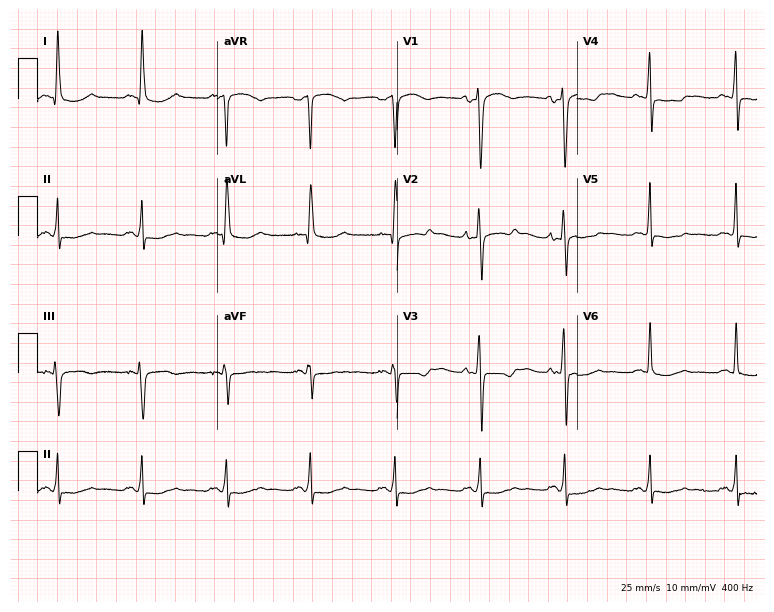
Electrocardiogram (7.3-second recording at 400 Hz), a 62-year-old female. Of the six screened findings (first-degree AV block, right bundle branch block, left bundle branch block, sinus bradycardia, atrial fibrillation, sinus tachycardia), none is recorded. Only these six findings were labelled.